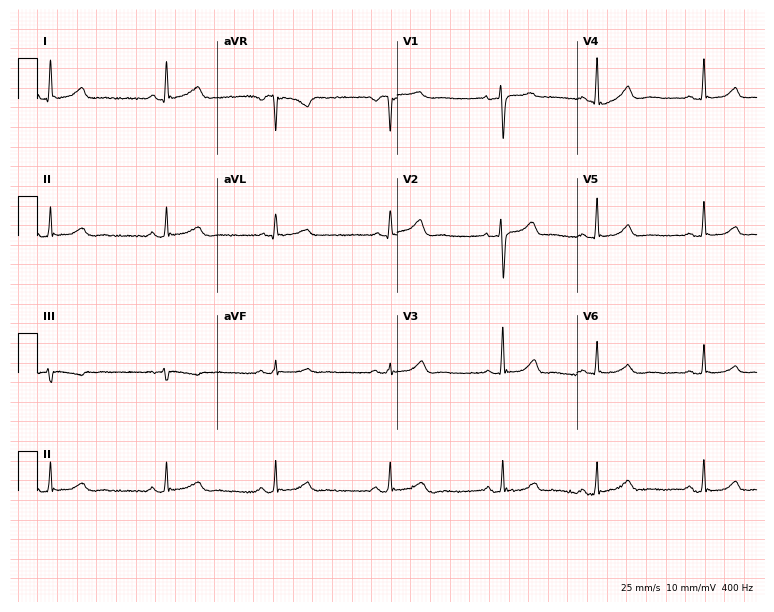
Standard 12-lead ECG recorded from a male, 54 years old. Read as a normal ECG.